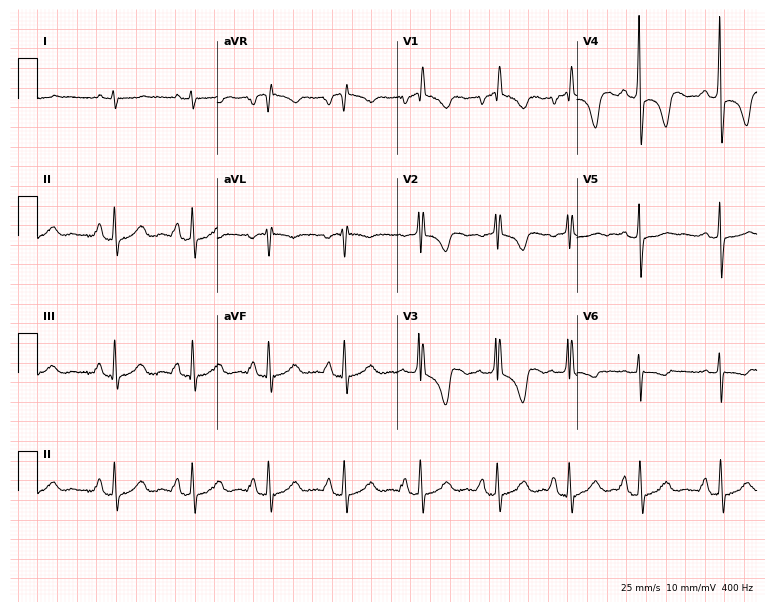
Electrocardiogram, a female, 38 years old. Of the six screened findings (first-degree AV block, right bundle branch block (RBBB), left bundle branch block (LBBB), sinus bradycardia, atrial fibrillation (AF), sinus tachycardia), none is recorded.